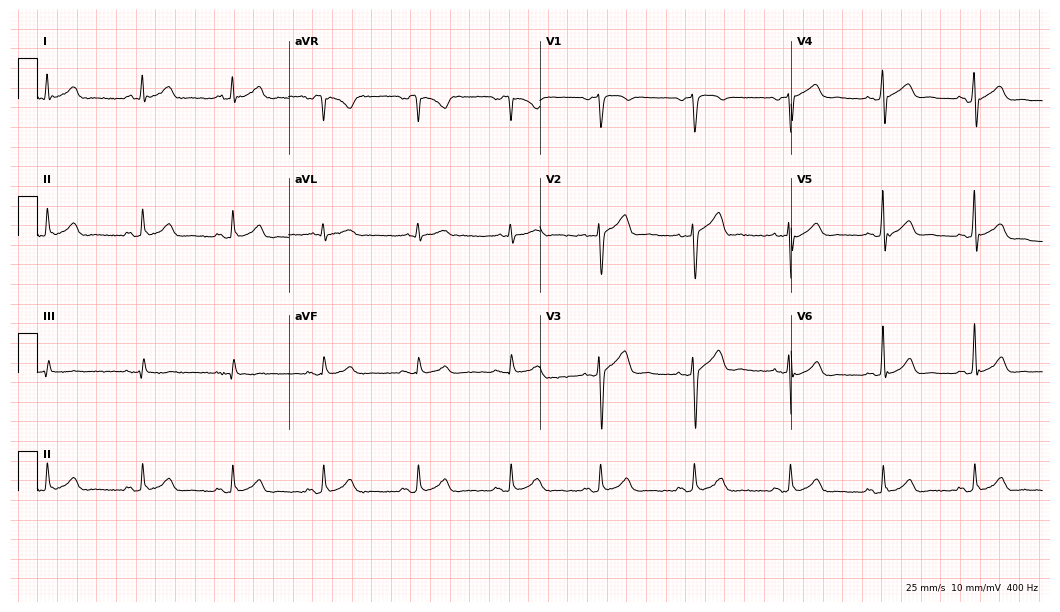
Electrocardiogram (10.2-second recording at 400 Hz), a male patient, 34 years old. Overall reading on record: normal ECG.